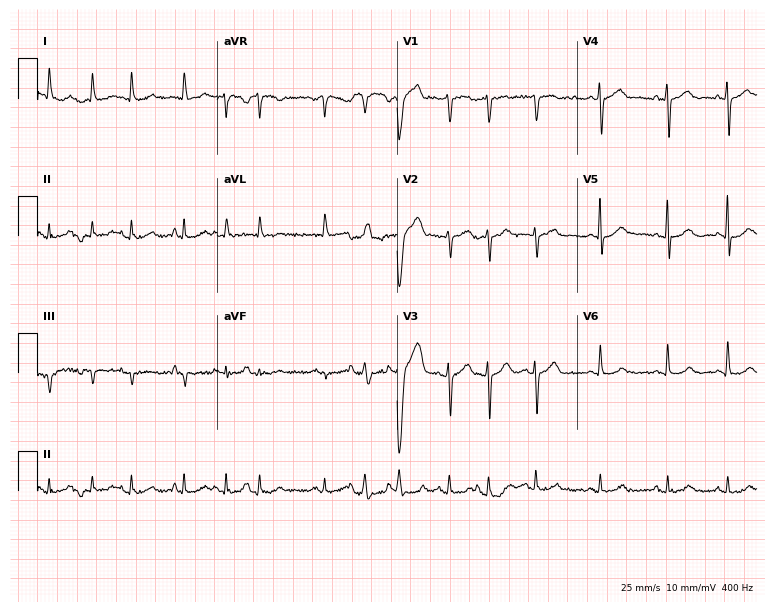
ECG (7.3-second recording at 400 Hz) — a male patient, 75 years old. Findings include atrial fibrillation.